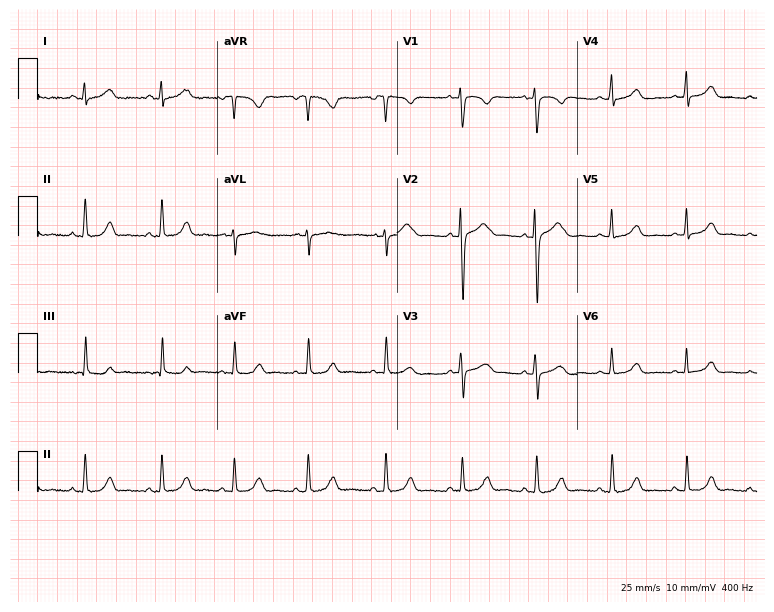
Standard 12-lead ECG recorded from a 27-year-old female (7.3-second recording at 400 Hz). None of these six findings is recorded: first-degree AV block, right bundle branch block (RBBB), left bundle branch block (LBBB), sinus bradycardia, atrial fibrillation (AF), sinus tachycardia. Findings outside these six are not listed.